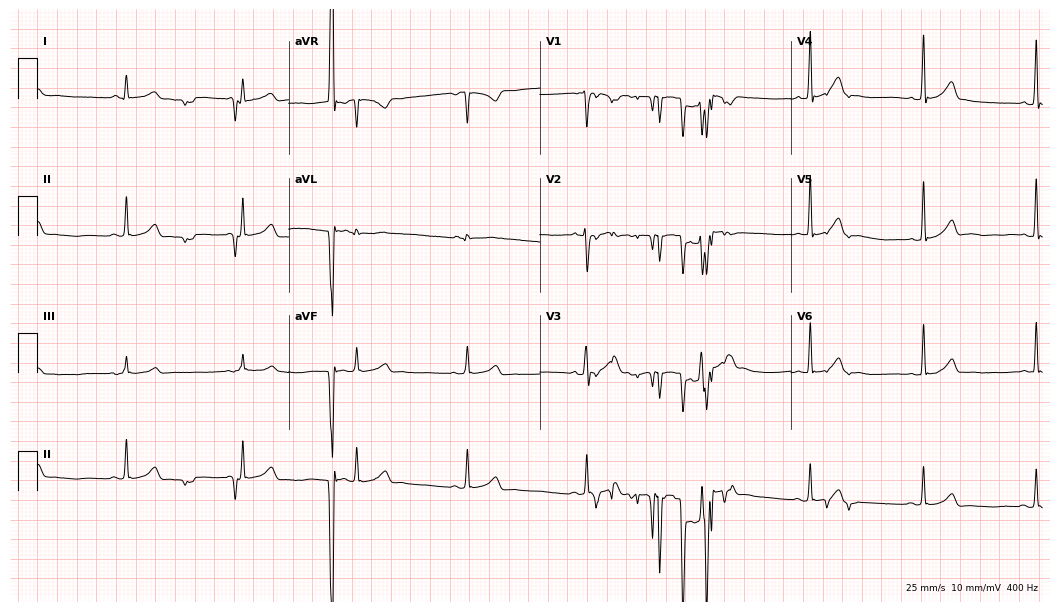
12-lead ECG from a male patient, 23 years old. Recorded interpretation: within normal limits.